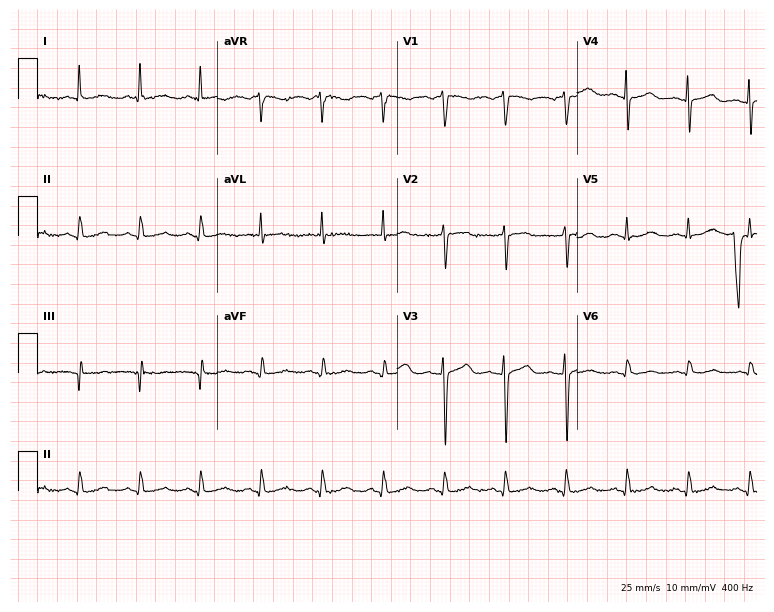
12-lead ECG (7.3-second recording at 400 Hz) from a 56-year-old woman. Labelled as a normal ECG.